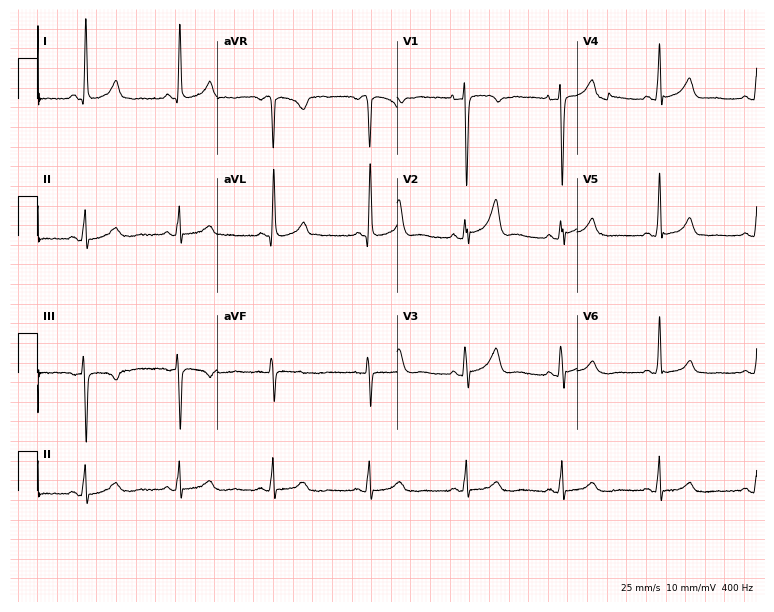
12-lead ECG (7.3-second recording at 400 Hz) from a woman, 58 years old. Screened for six findings — first-degree AV block, right bundle branch block (RBBB), left bundle branch block (LBBB), sinus bradycardia, atrial fibrillation (AF), sinus tachycardia — none is recorded. Findings outside these six are not listed.